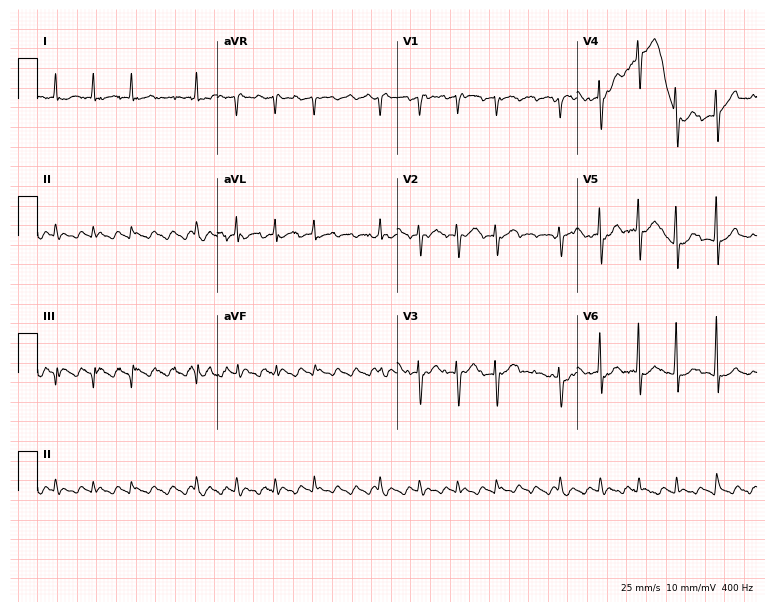
12-lead ECG from a man, 84 years old. No first-degree AV block, right bundle branch block, left bundle branch block, sinus bradycardia, atrial fibrillation or sinus tachycardia recorded for this tracing. Findings outside these six are not listed.